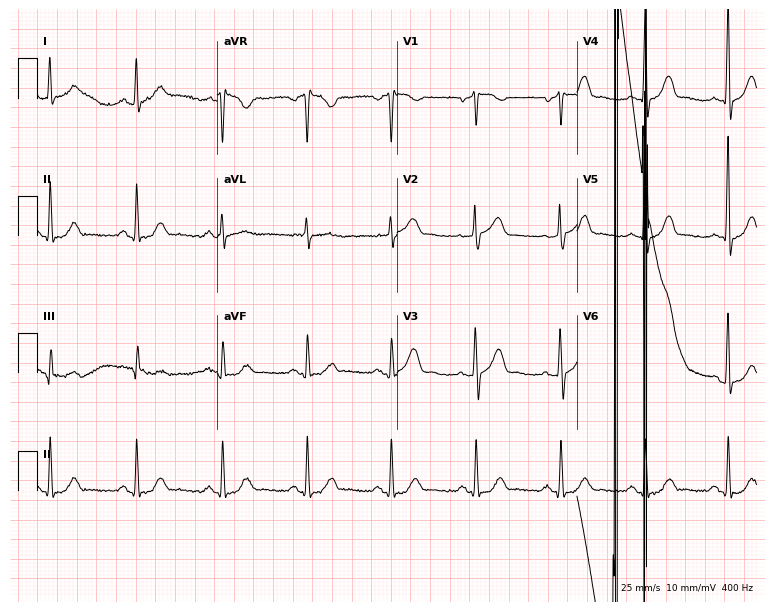
12-lead ECG from a man, 72 years old. Screened for six findings — first-degree AV block, right bundle branch block, left bundle branch block, sinus bradycardia, atrial fibrillation, sinus tachycardia — none is recorded.